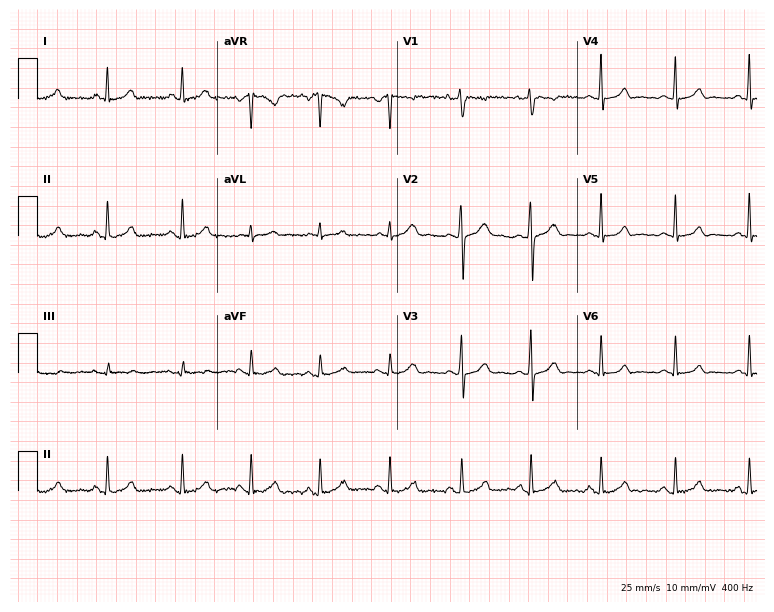
ECG (7.3-second recording at 400 Hz) — a female, 26 years old. Labelled as a normal ECG.